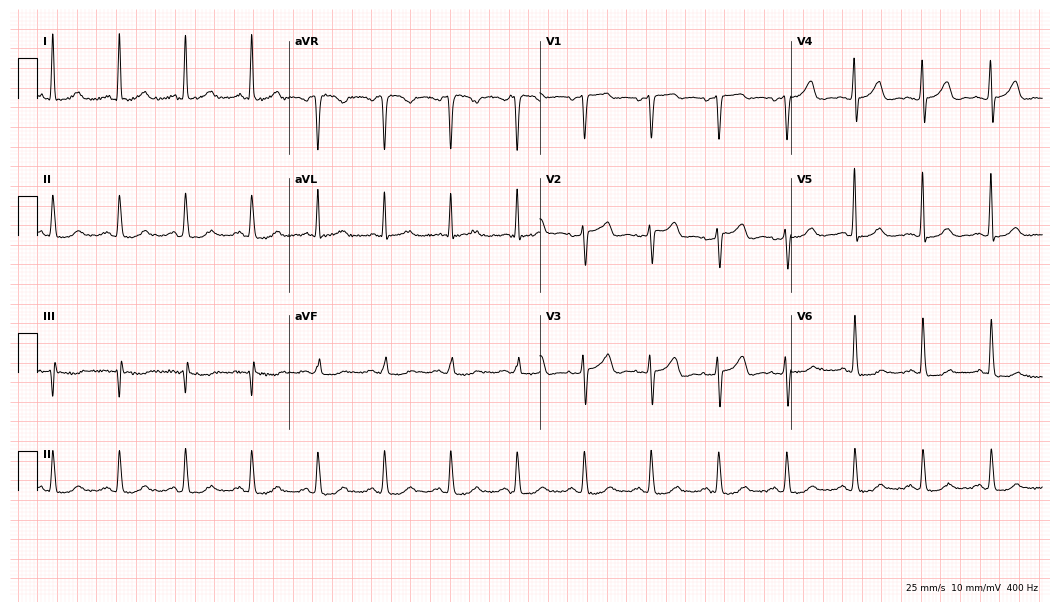
Resting 12-lead electrocardiogram. Patient: a female, 51 years old. None of these six findings is recorded: first-degree AV block, right bundle branch block, left bundle branch block, sinus bradycardia, atrial fibrillation, sinus tachycardia.